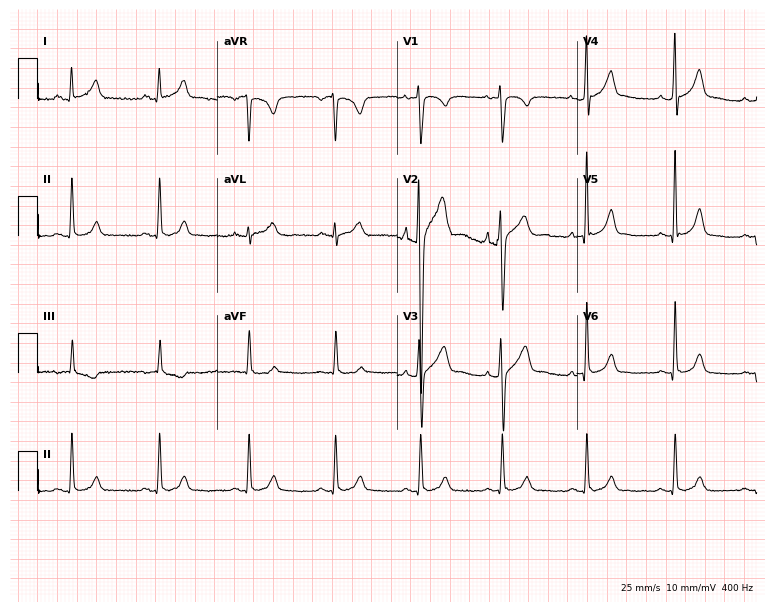
Standard 12-lead ECG recorded from a 21-year-old male. None of these six findings is recorded: first-degree AV block, right bundle branch block (RBBB), left bundle branch block (LBBB), sinus bradycardia, atrial fibrillation (AF), sinus tachycardia.